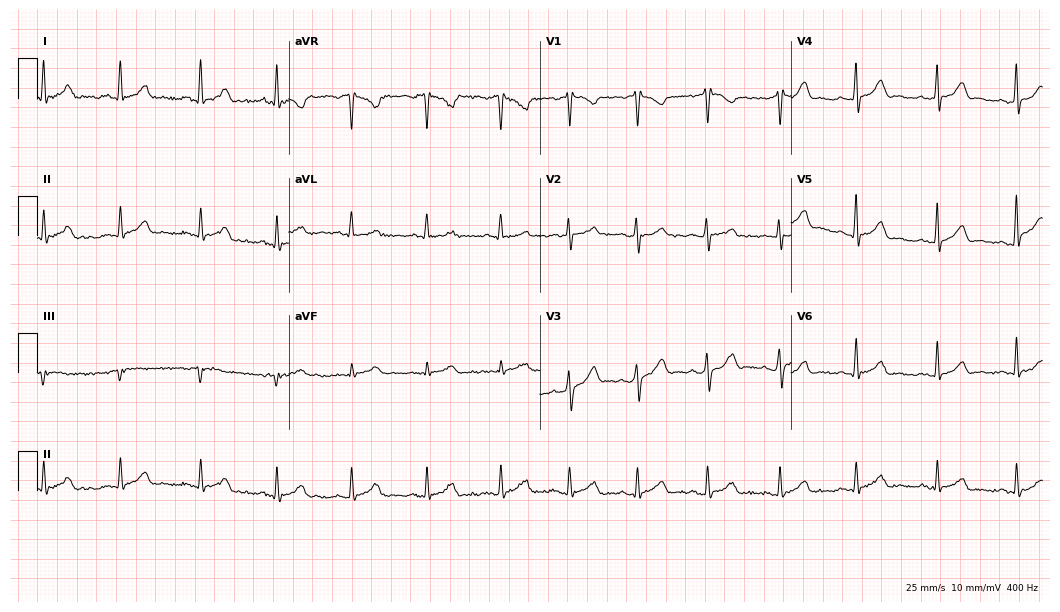
ECG — a male, 30 years old. Labelled as a normal ECG.